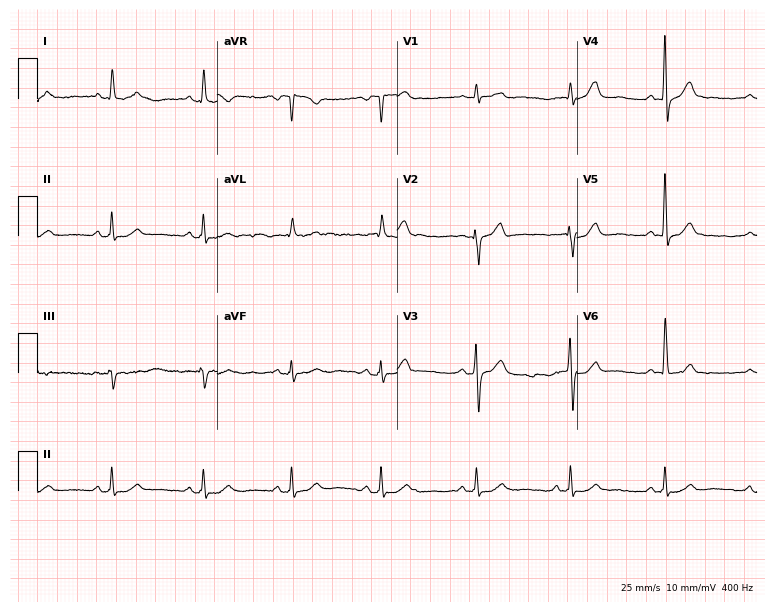
12-lead ECG from a female, 60 years old. No first-degree AV block, right bundle branch block, left bundle branch block, sinus bradycardia, atrial fibrillation or sinus tachycardia recorded for this tracing.